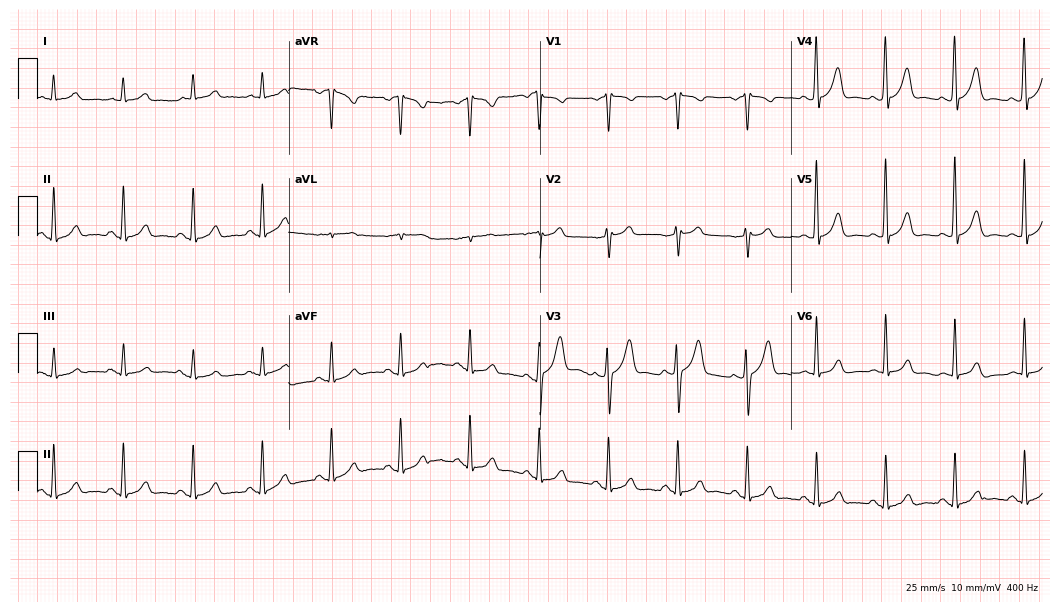
ECG — a 71-year-old male. Screened for six findings — first-degree AV block, right bundle branch block (RBBB), left bundle branch block (LBBB), sinus bradycardia, atrial fibrillation (AF), sinus tachycardia — none is recorded. Only these six findings were labelled.